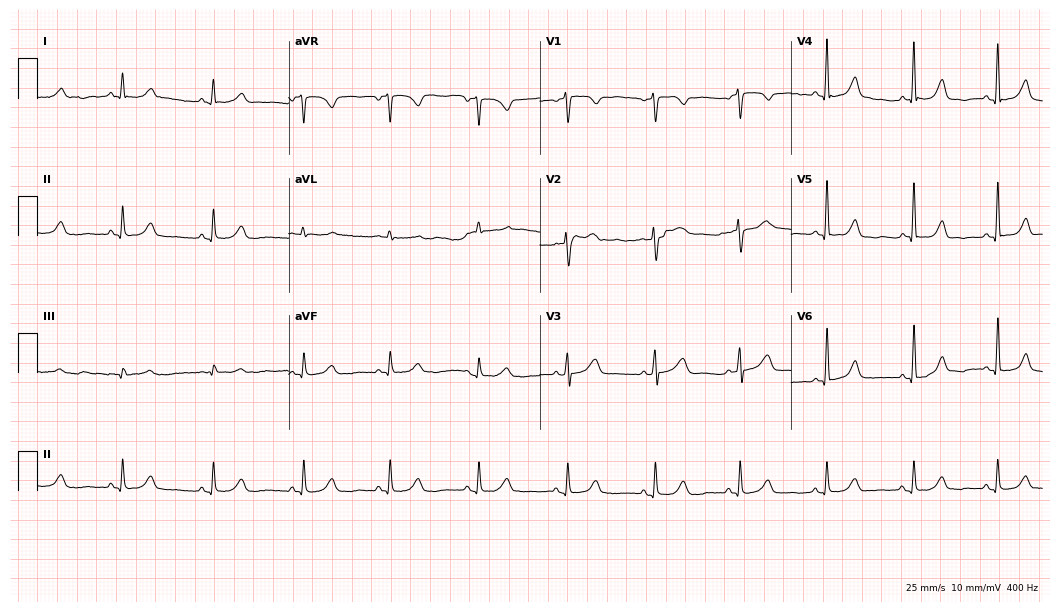
ECG — a female patient, 78 years old. Screened for six findings — first-degree AV block, right bundle branch block (RBBB), left bundle branch block (LBBB), sinus bradycardia, atrial fibrillation (AF), sinus tachycardia — none is recorded.